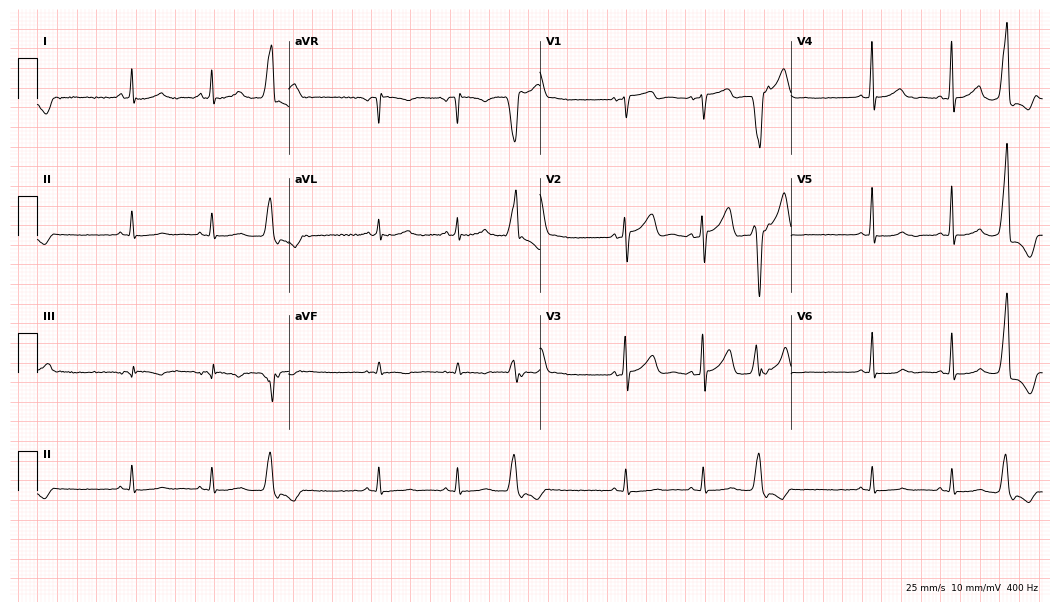
ECG — a man, 69 years old. Screened for six findings — first-degree AV block, right bundle branch block, left bundle branch block, sinus bradycardia, atrial fibrillation, sinus tachycardia — none is recorded.